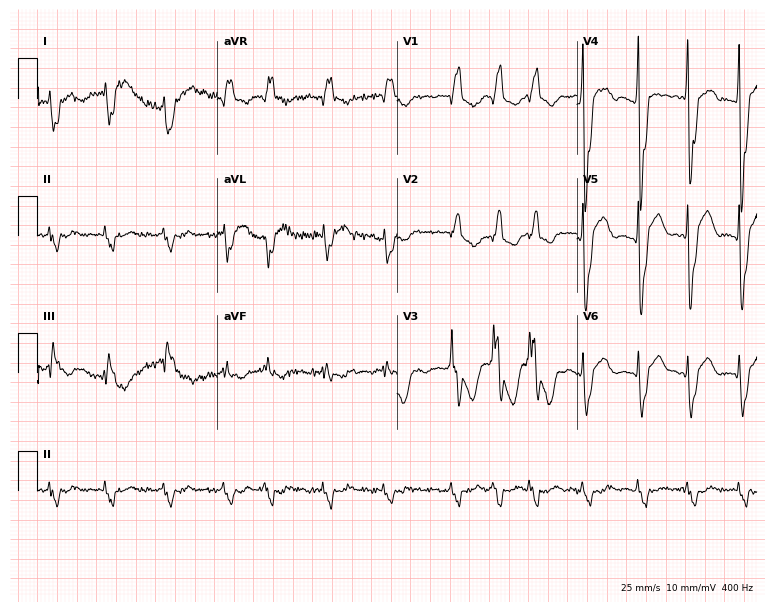
12-lead ECG from a 67-year-old male patient. Shows right bundle branch block, atrial fibrillation.